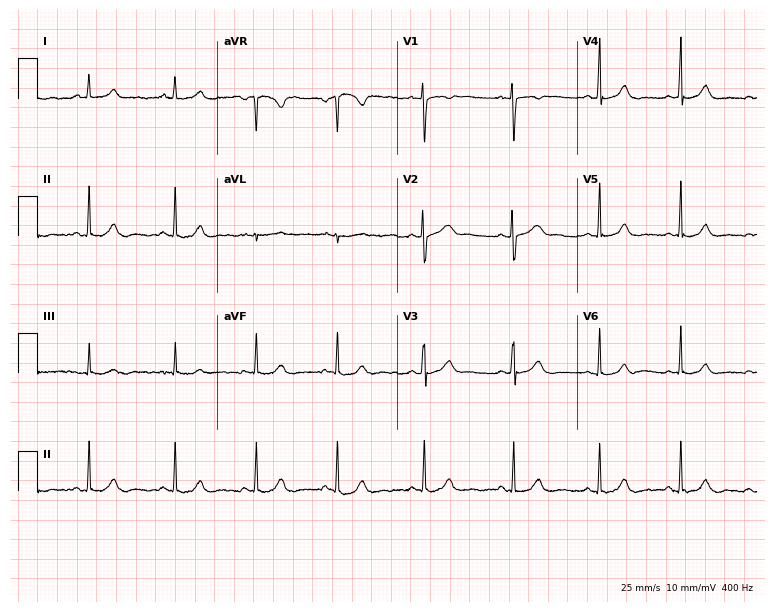
12-lead ECG from a female patient, 26 years old (7.3-second recording at 400 Hz). Recorded interpretation: within normal limits.